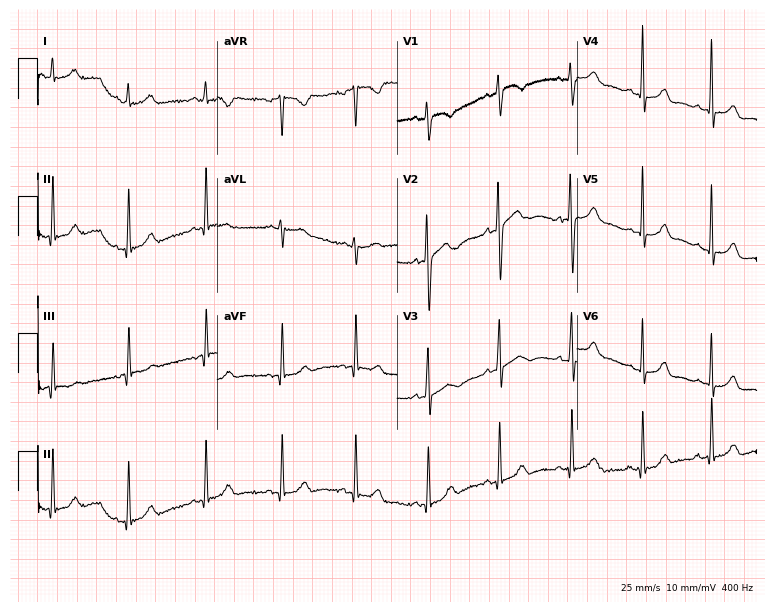
Standard 12-lead ECG recorded from a female patient, 28 years old (7.3-second recording at 400 Hz). None of these six findings is recorded: first-degree AV block, right bundle branch block (RBBB), left bundle branch block (LBBB), sinus bradycardia, atrial fibrillation (AF), sinus tachycardia.